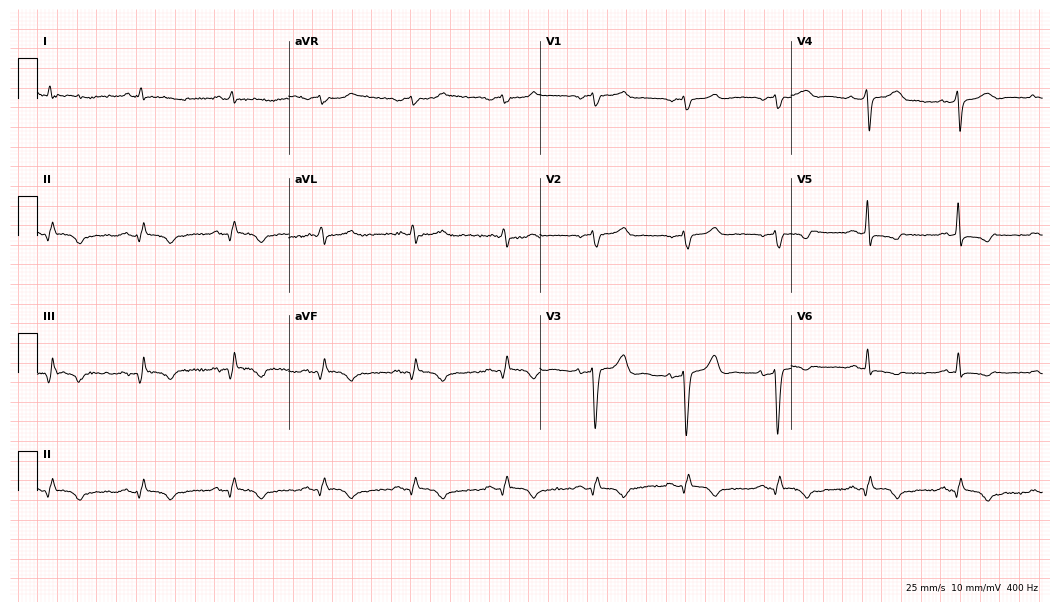
12-lead ECG from a male patient, 72 years old. No first-degree AV block, right bundle branch block, left bundle branch block, sinus bradycardia, atrial fibrillation or sinus tachycardia recorded for this tracing. Findings outside these six are not listed.